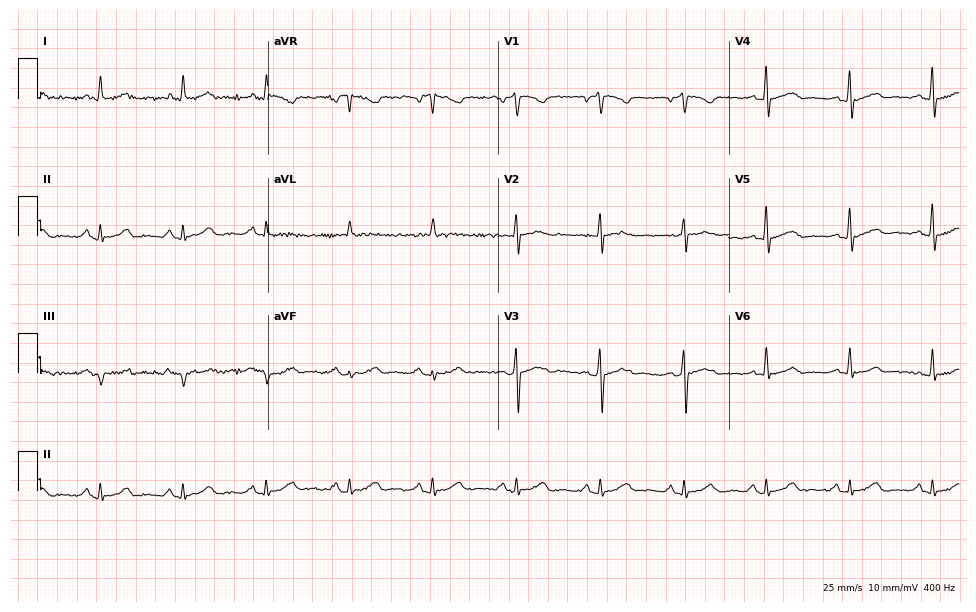
Resting 12-lead electrocardiogram (9.4-second recording at 400 Hz). Patient: a male, 71 years old. Read as a normal ECG.